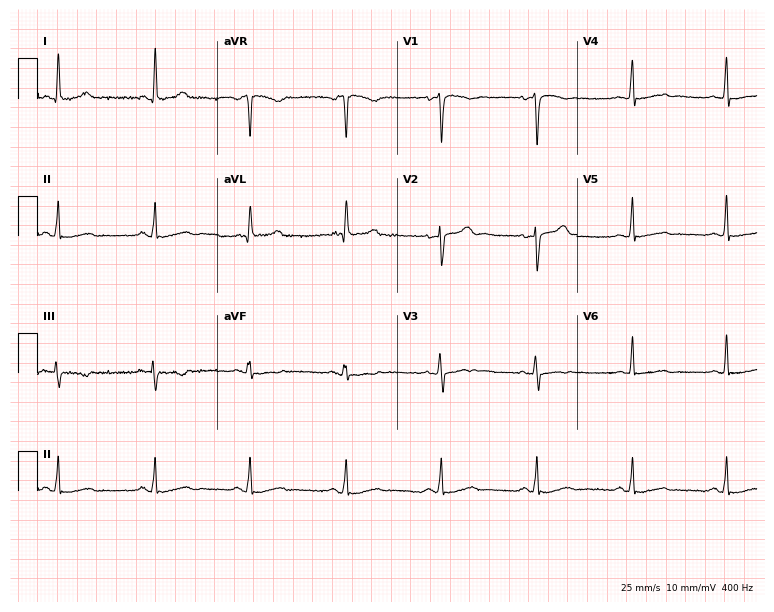
Resting 12-lead electrocardiogram. Patient: a 44-year-old woman. None of these six findings is recorded: first-degree AV block, right bundle branch block, left bundle branch block, sinus bradycardia, atrial fibrillation, sinus tachycardia.